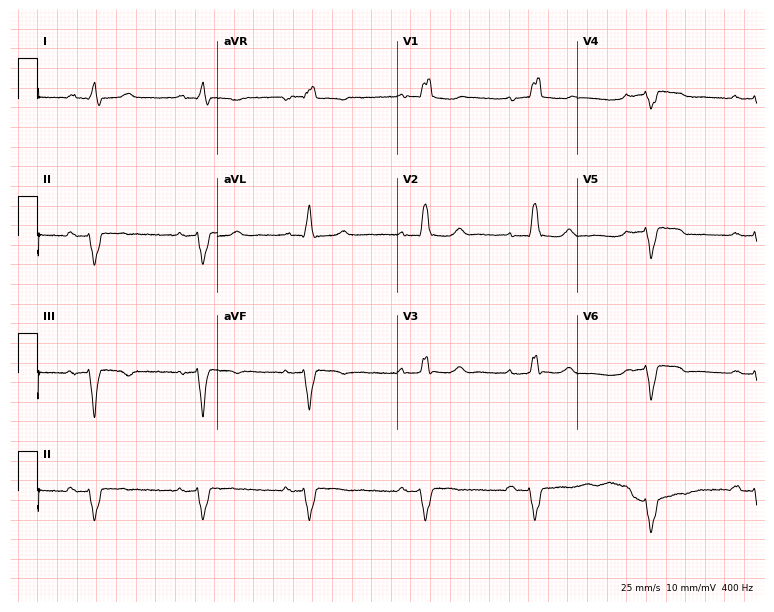
ECG — a 59-year-old female patient. Screened for six findings — first-degree AV block, right bundle branch block (RBBB), left bundle branch block (LBBB), sinus bradycardia, atrial fibrillation (AF), sinus tachycardia — none is recorded.